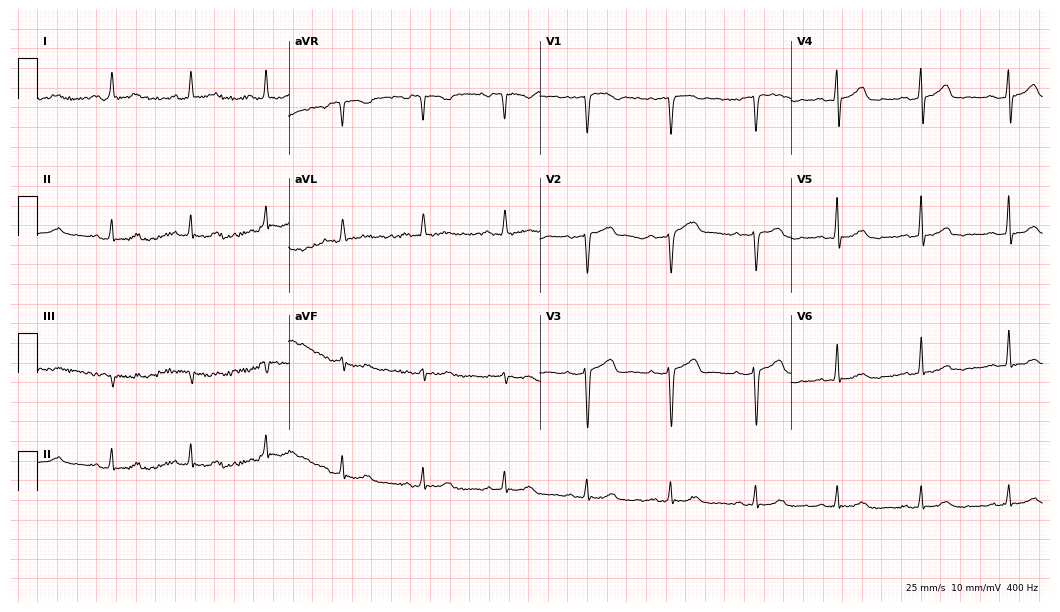
12-lead ECG from a female, 57 years old (10.2-second recording at 400 Hz). Recorded interpretation: within normal limits.